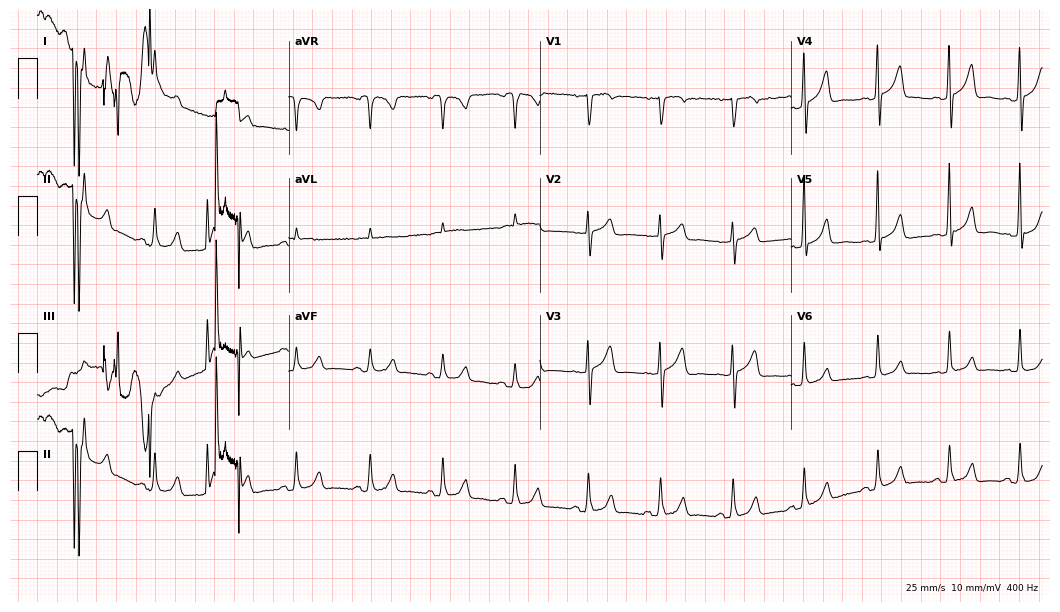
12-lead ECG from a 73-year-old man (10.2-second recording at 400 Hz). No first-degree AV block, right bundle branch block, left bundle branch block, sinus bradycardia, atrial fibrillation or sinus tachycardia recorded for this tracing. Other findings, if any, are not listed.